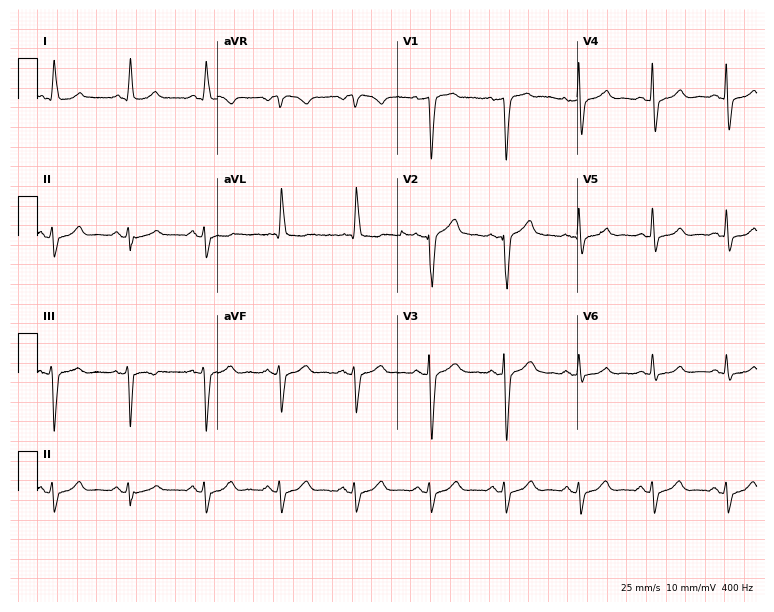
ECG — a 69-year-old man. Screened for six findings — first-degree AV block, right bundle branch block, left bundle branch block, sinus bradycardia, atrial fibrillation, sinus tachycardia — none is recorded. Other findings, if any, are not listed.